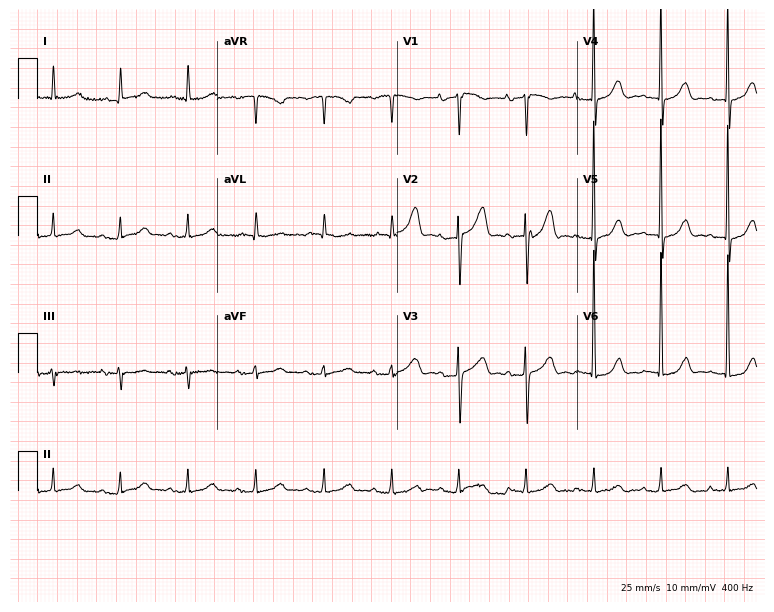
Standard 12-lead ECG recorded from a woman, 83 years old. Read as a normal ECG.